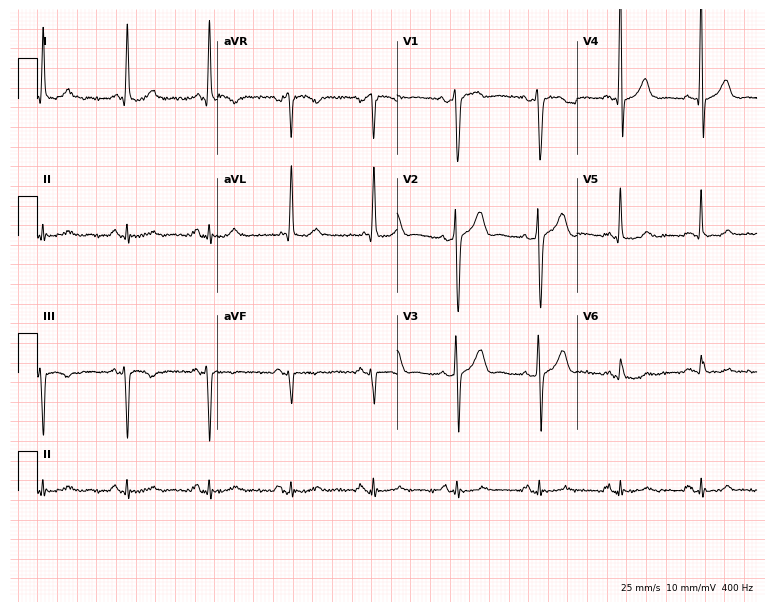
12-lead ECG from a 66-year-old male. Recorded interpretation: within normal limits.